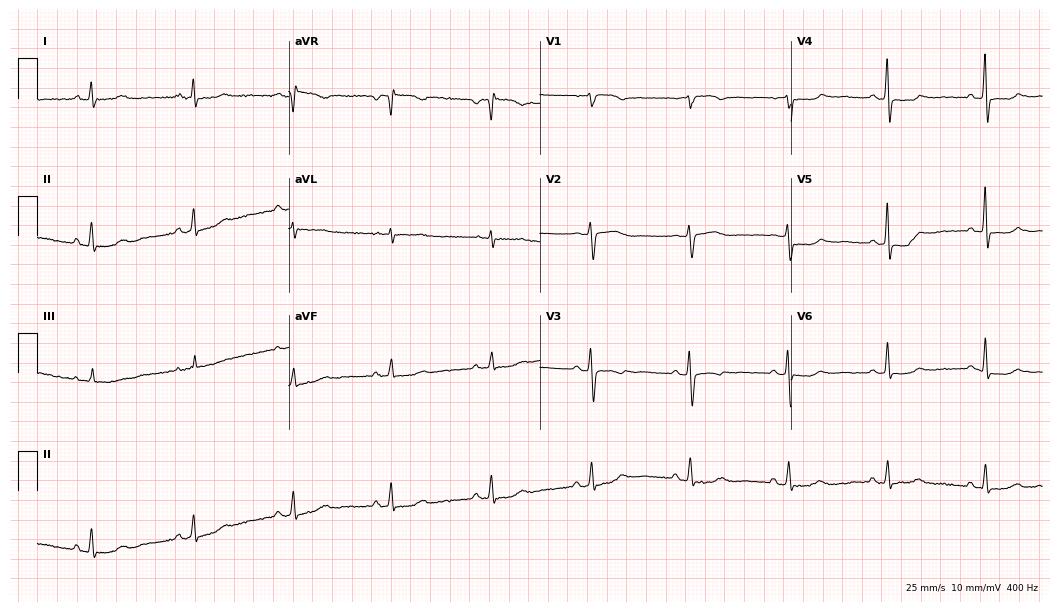
Resting 12-lead electrocardiogram (10.2-second recording at 400 Hz). Patient: a female, 66 years old. None of these six findings is recorded: first-degree AV block, right bundle branch block (RBBB), left bundle branch block (LBBB), sinus bradycardia, atrial fibrillation (AF), sinus tachycardia.